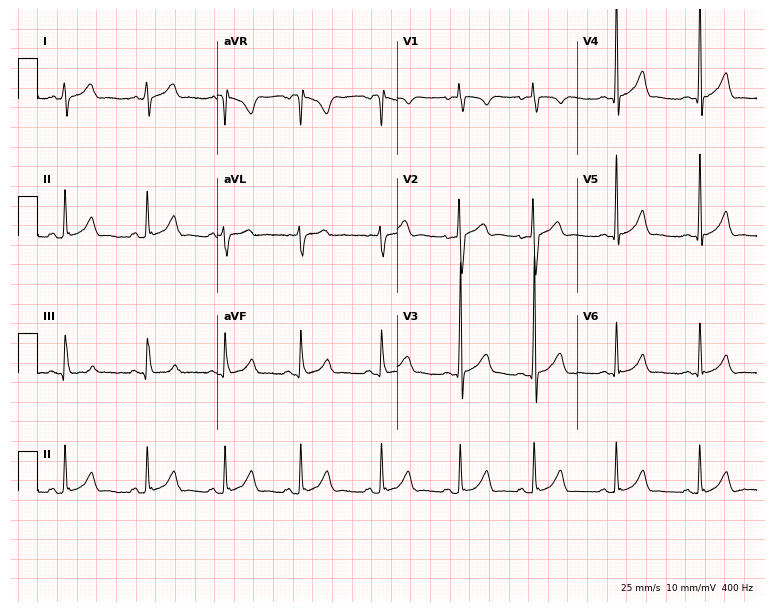
Resting 12-lead electrocardiogram. Patient: a 17-year-old man. Read as a normal ECG.